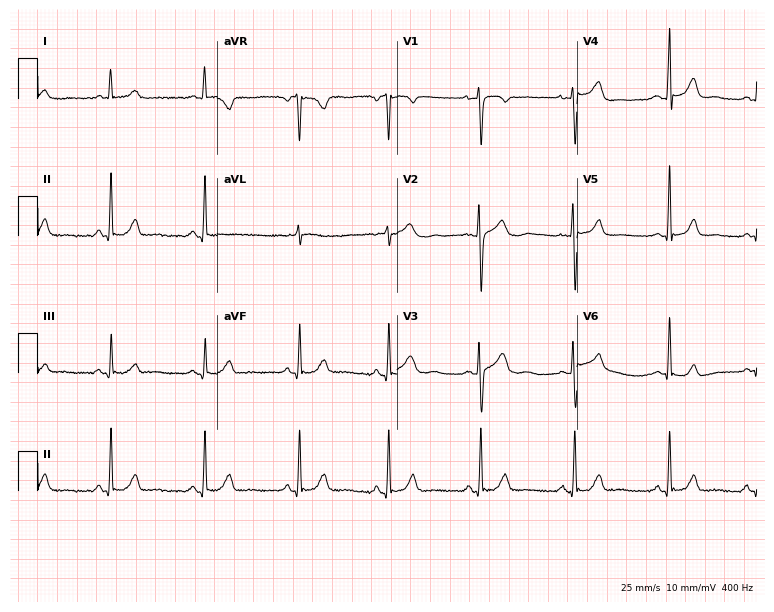
ECG — a 39-year-old female. Screened for six findings — first-degree AV block, right bundle branch block, left bundle branch block, sinus bradycardia, atrial fibrillation, sinus tachycardia — none is recorded. Other findings, if any, are not listed.